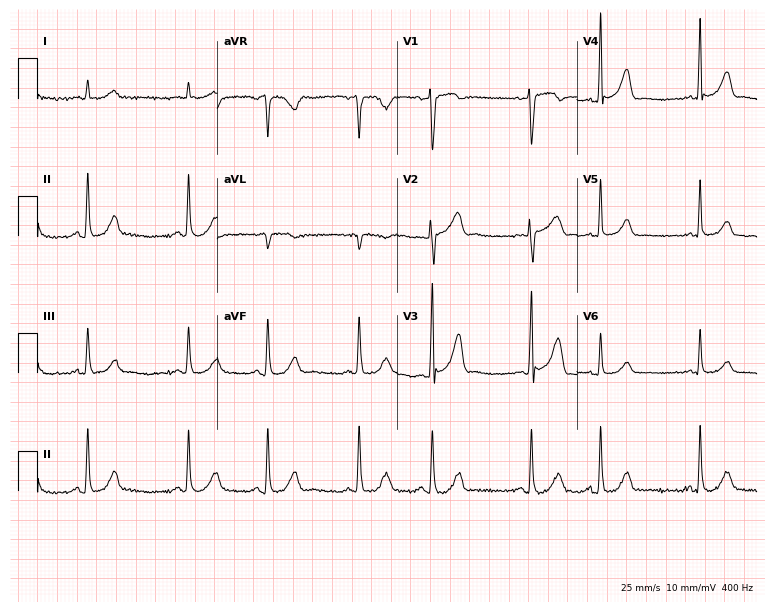
12-lead ECG from a 67-year-old male. Recorded interpretation: within normal limits.